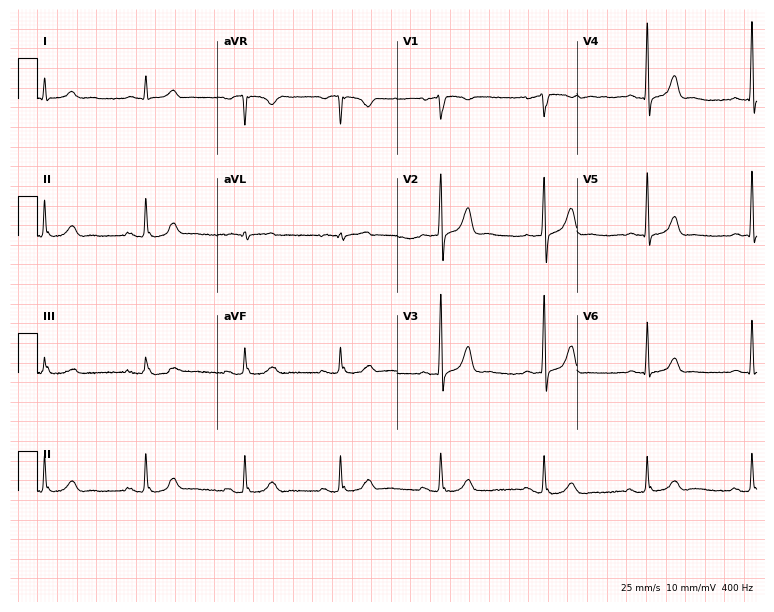
Resting 12-lead electrocardiogram (7.3-second recording at 400 Hz). Patient: a male, 64 years old. Read as a normal ECG.